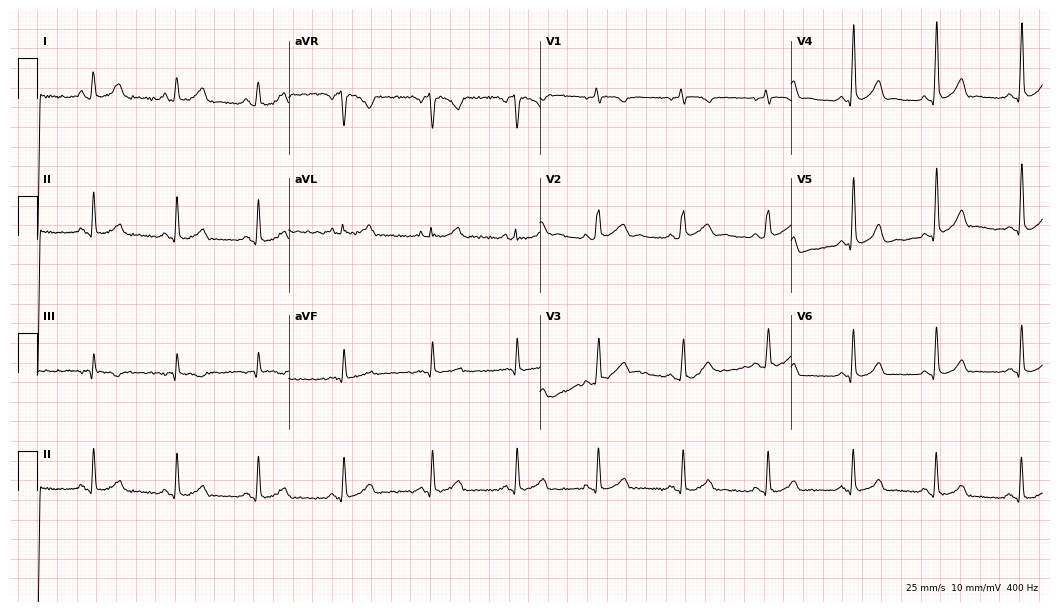
ECG — a female, 46 years old. Labelled as a normal ECG.